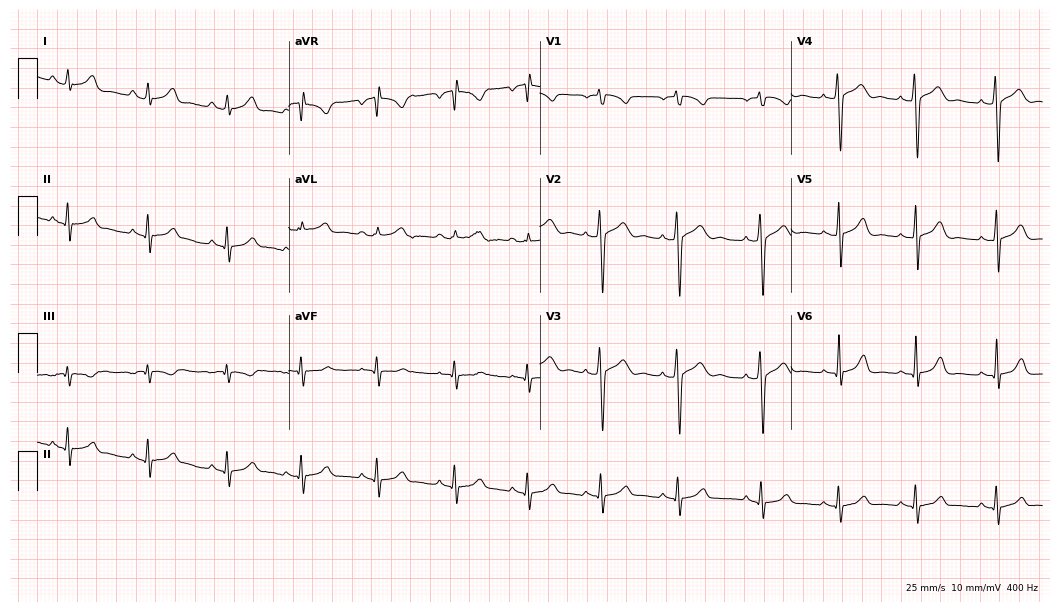
12-lead ECG from a 19-year-old female (10.2-second recording at 400 Hz). Recorded interpretation: within normal limits.